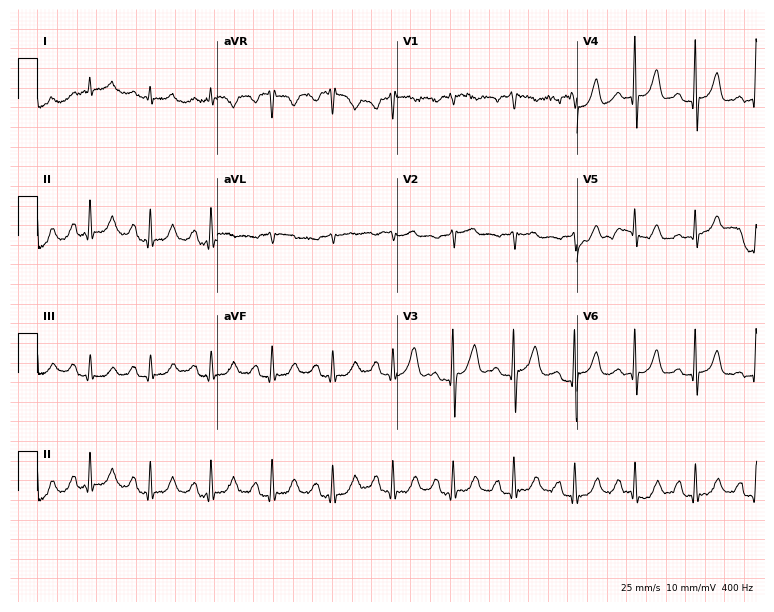
12-lead ECG from an 81-year-old male patient (7.3-second recording at 400 Hz). No first-degree AV block, right bundle branch block, left bundle branch block, sinus bradycardia, atrial fibrillation or sinus tachycardia recorded for this tracing. Findings outside these six are not listed.